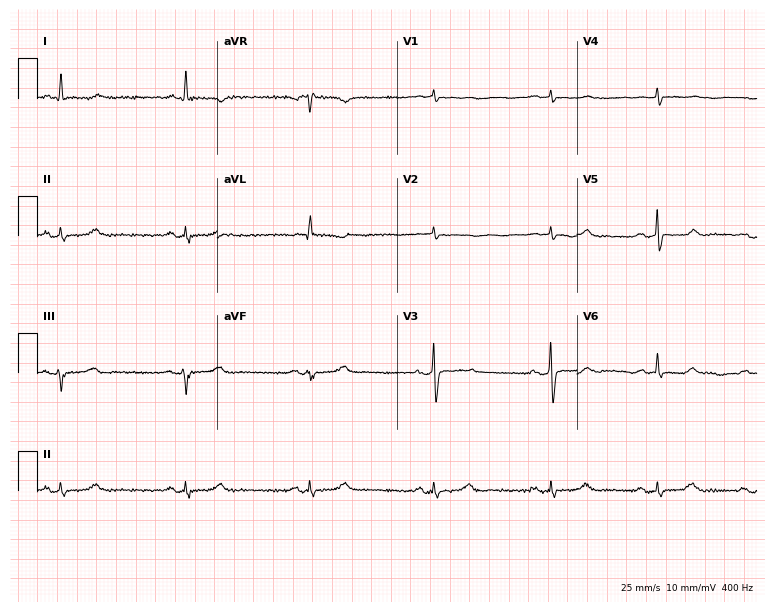
Electrocardiogram, a female patient, 60 years old. Interpretation includes sinus bradycardia (a sinus rate of 50 beats per minute or less).